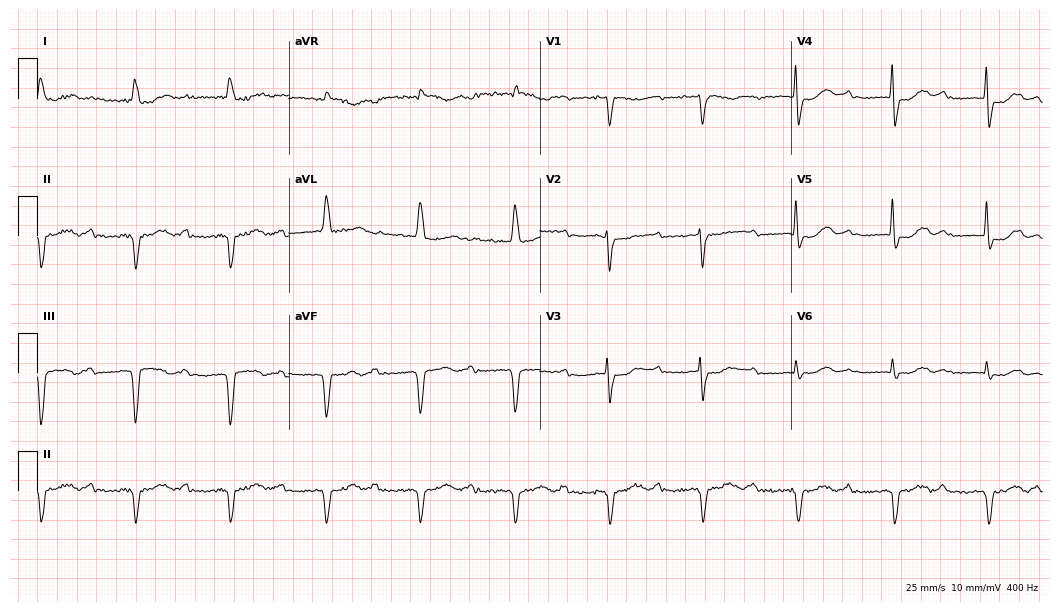
Resting 12-lead electrocardiogram (10.2-second recording at 400 Hz). Patient: a man, 82 years old. None of these six findings is recorded: first-degree AV block, right bundle branch block, left bundle branch block, sinus bradycardia, atrial fibrillation, sinus tachycardia.